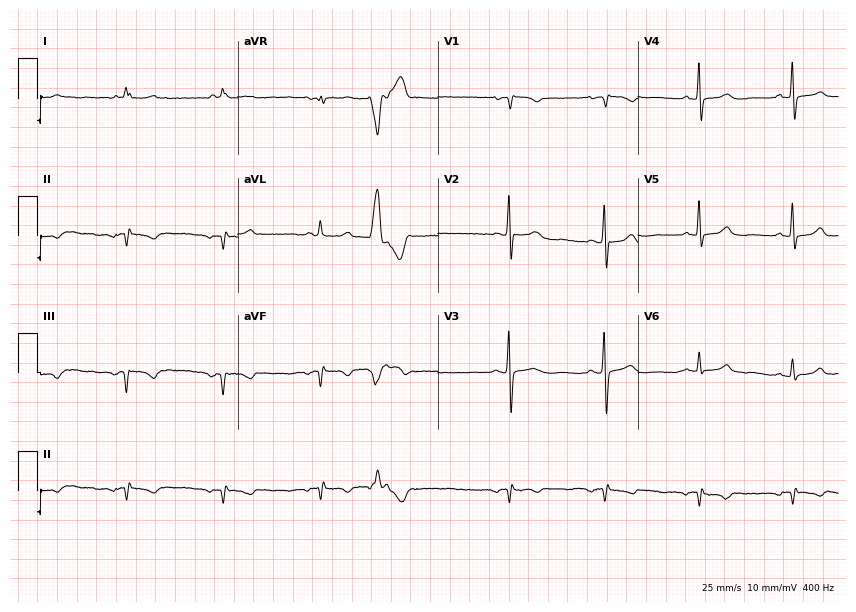
12-lead ECG (8.2-second recording at 400 Hz) from an 85-year-old female. Screened for six findings — first-degree AV block, right bundle branch block, left bundle branch block, sinus bradycardia, atrial fibrillation, sinus tachycardia — none is recorded. Other findings, if any, are not listed.